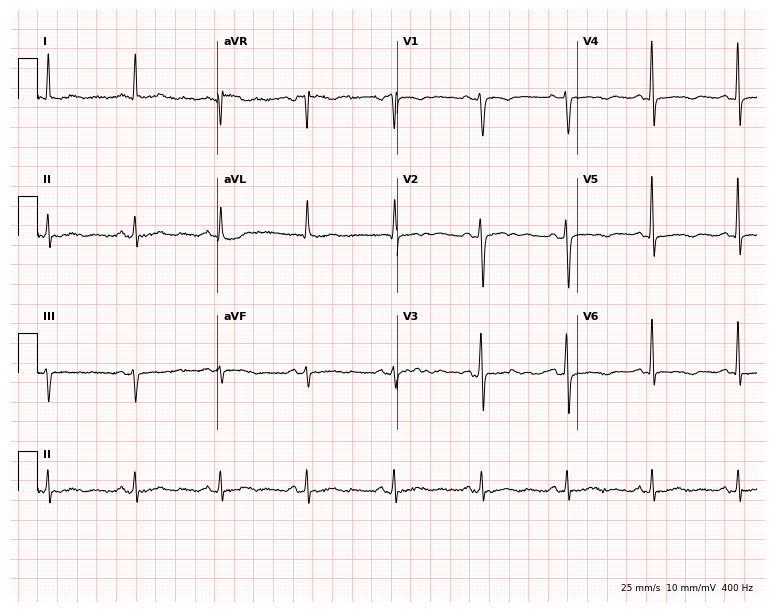
Electrocardiogram (7.3-second recording at 400 Hz), a female patient, 82 years old. Of the six screened findings (first-degree AV block, right bundle branch block, left bundle branch block, sinus bradycardia, atrial fibrillation, sinus tachycardia), none is recorded.